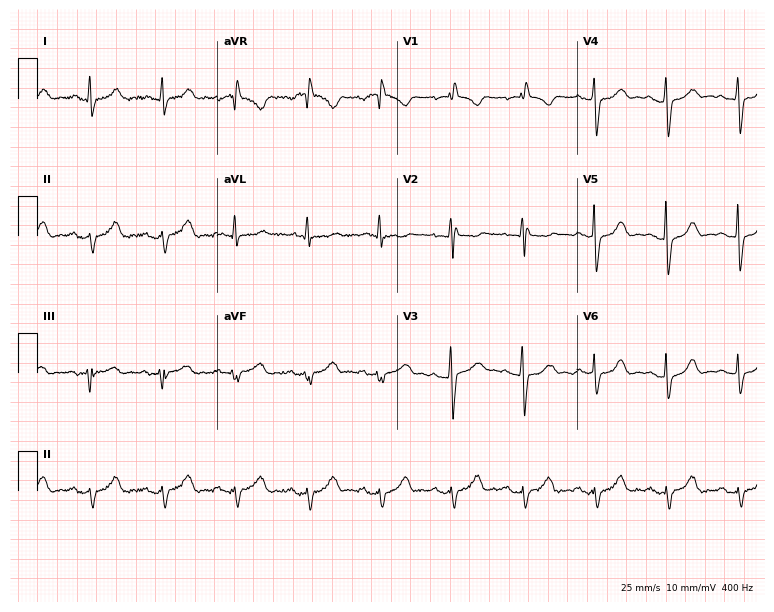
Standard 12-lead ECG recorded from a 70-year-old woman (7.3-second recording at 400 Hz). None of these six findings is recorded: first-degree AV block, right bundle branch block, left bundle branch block, sinus bradycardia, atrial fibrillation, sinus tachycardia.